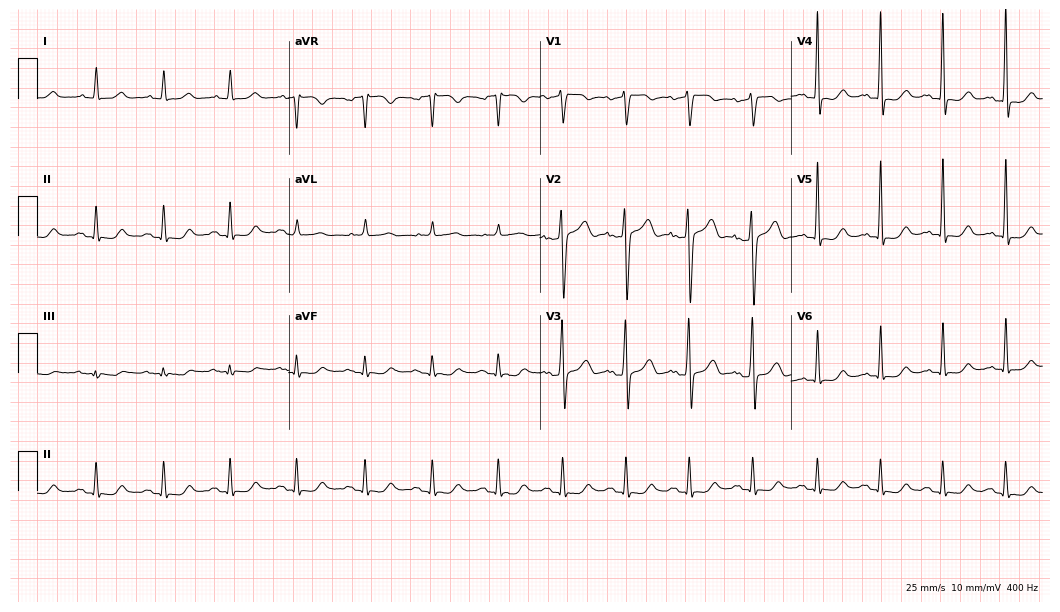
Standard 12-lead ECG recorded from a male, 61 years old. None of these six findings is recorded: first-degree AV block, right bundle branch block (RBBB), left bundle branch block (LBBB), sinus bradycardia, atrial fibrillation (AF), sinus tachycardia.